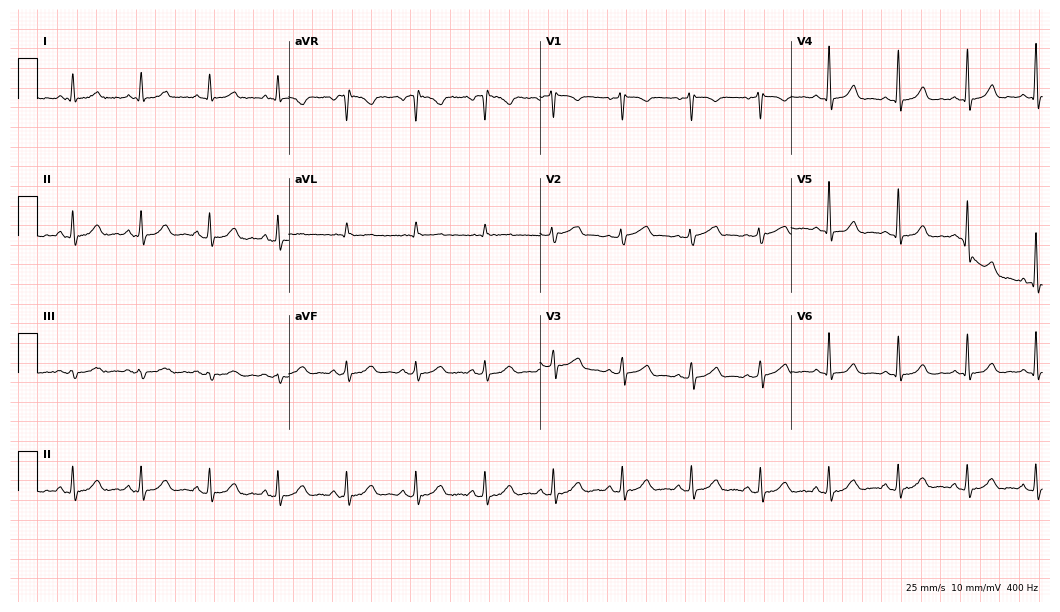
Resting 12-lead electrocardiogram (10.2-second recording at 400 Hz). Patient: a female, 48 years old. Read as a normal ECG.